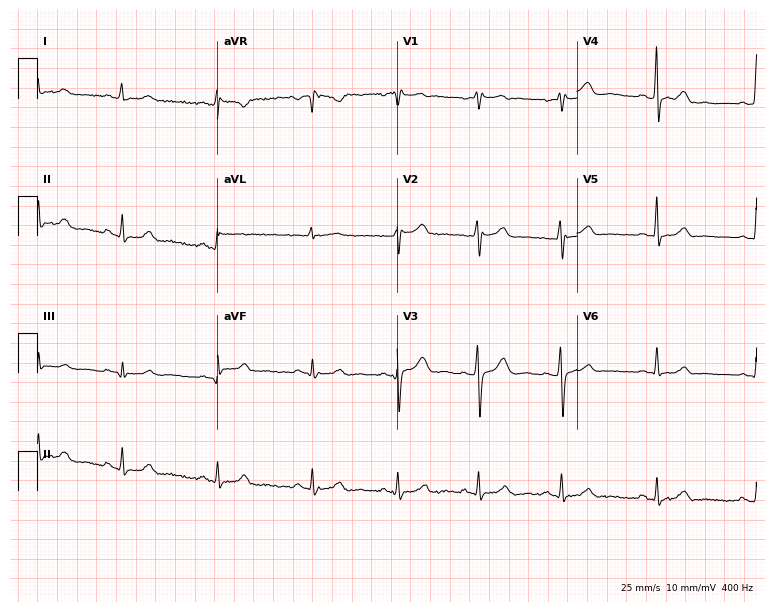
Resting 12-lead electrocardiogram. Patient: a 32-year-old female. None of these six findings is recorded: first-degree AV block, right bundle branch block (RBBB), left bundle branch block (LBBB), sinus bradycardia, atrial fibrillation (AF), sinus tachycardia.